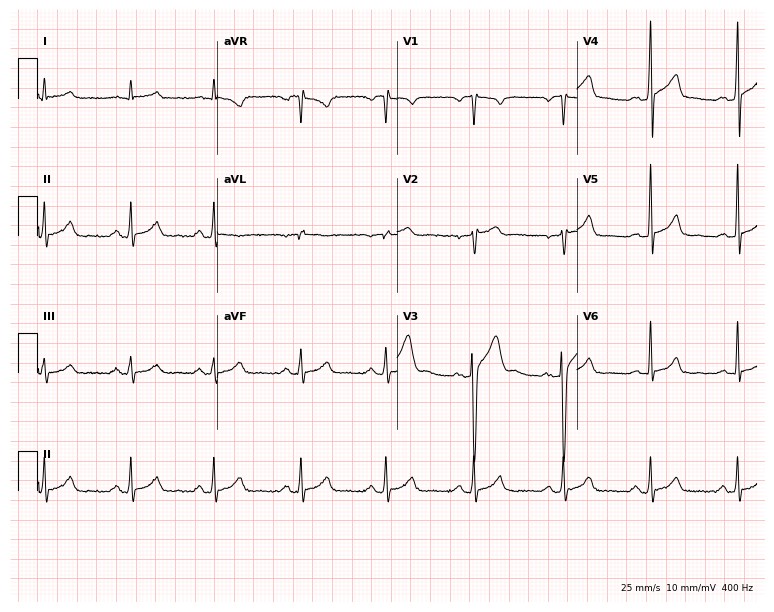
12-lead ECG (7.3-second recording at 400 Hz) from a 38-year-old man. Labelled as a normal ECG.